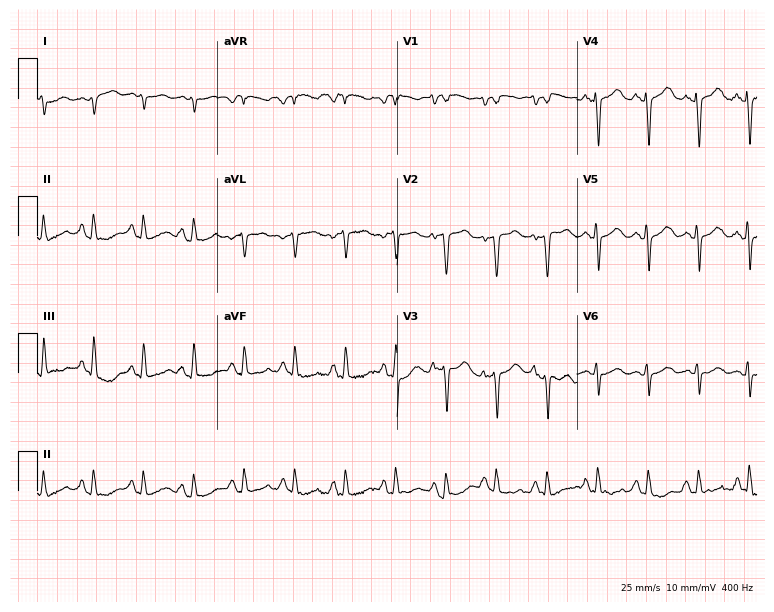
Resting 12-lead electrocardiogram (7.3-second recording at 400 Hz). Patient: a female, 73 years old. None of these six findings is recorded: first-degree AV block, right bundle branch block, left bundle branch block, sinus bradycardia, atrial fibrillation, sinus tachycardia.